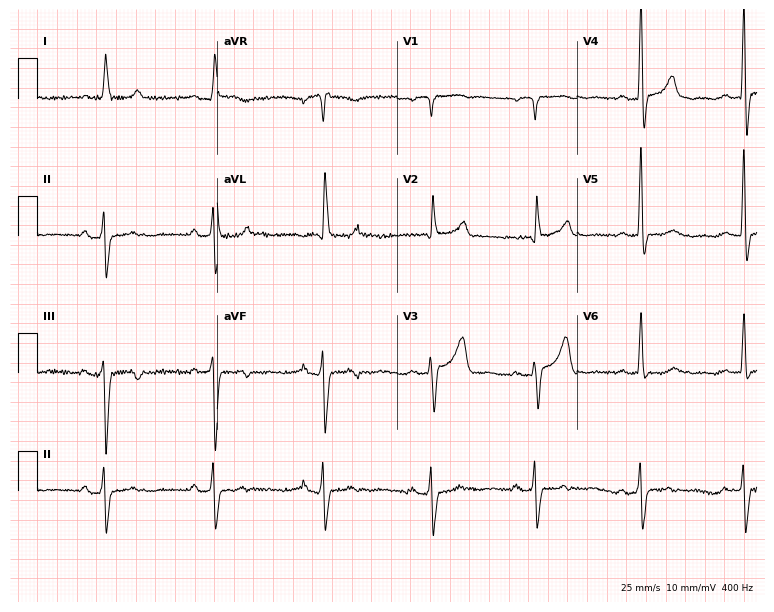
12-lead ECG (7.3-second recording at 400 Hz) from a woman, 83 years old. Screened for six findings — first-degree AV block, right bundle branch block (RBBB), left bundle branch block (LBBB), sinus bradycardia, atrial fibrillation (AF), sinus tachycardia — none is recorded. Only these six findings were labelled.